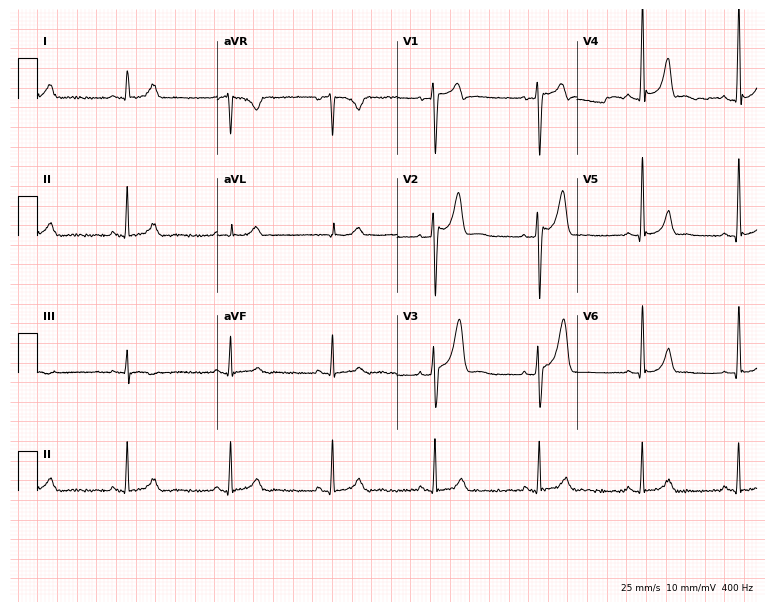
Resting 12-lead electrocardiogram (7.3-second recording at 400 Hz). Patient: a man, 41 years old. None of these six findings is recorded: first-degree AV block, right bundle branch block, left bundle branch block, sinus bradycardia, atrial fibrillation, sinus tachycardia. Other findings, if any, are not listed.